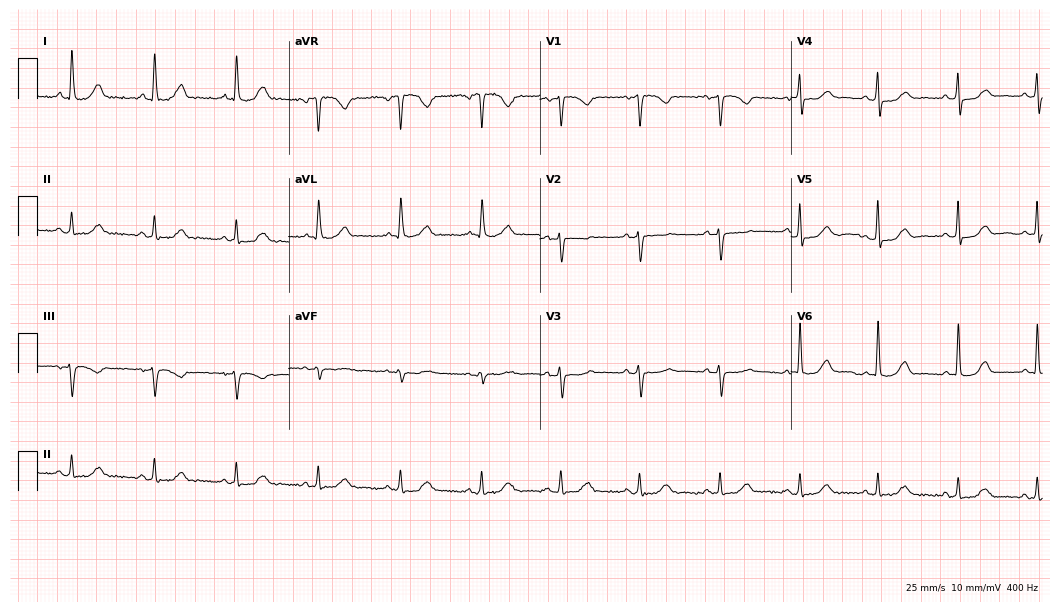
ECG (10.2-second recording at 400 Hz) — a 66-year-old woman. Labelled as a normal ECG.